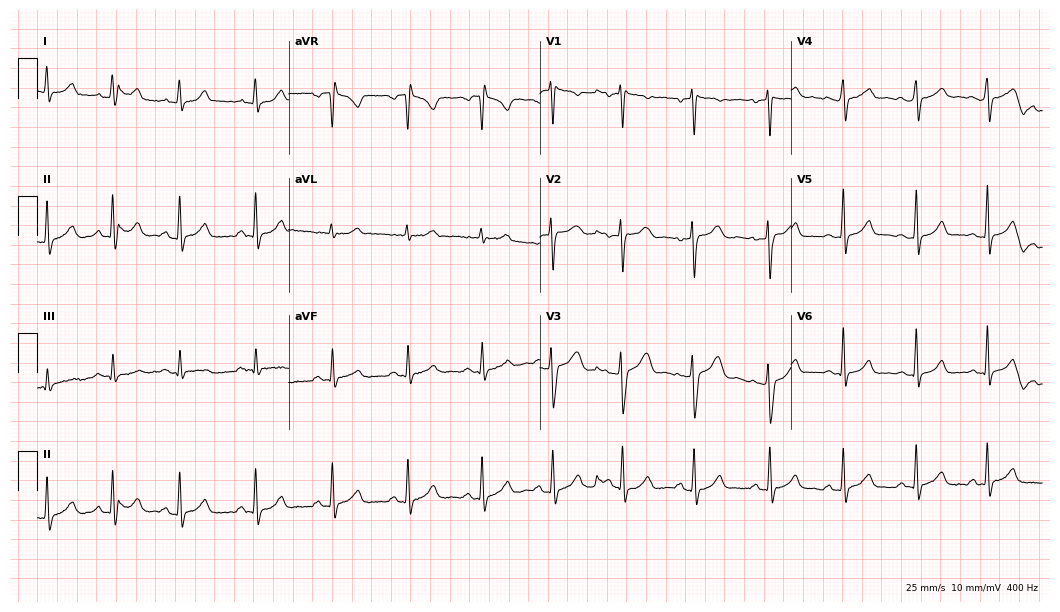
Standard 12-lead ECG recorded from a female, 26 years old (10.2-second recording at 400 Hz). Read as a normal ECG.